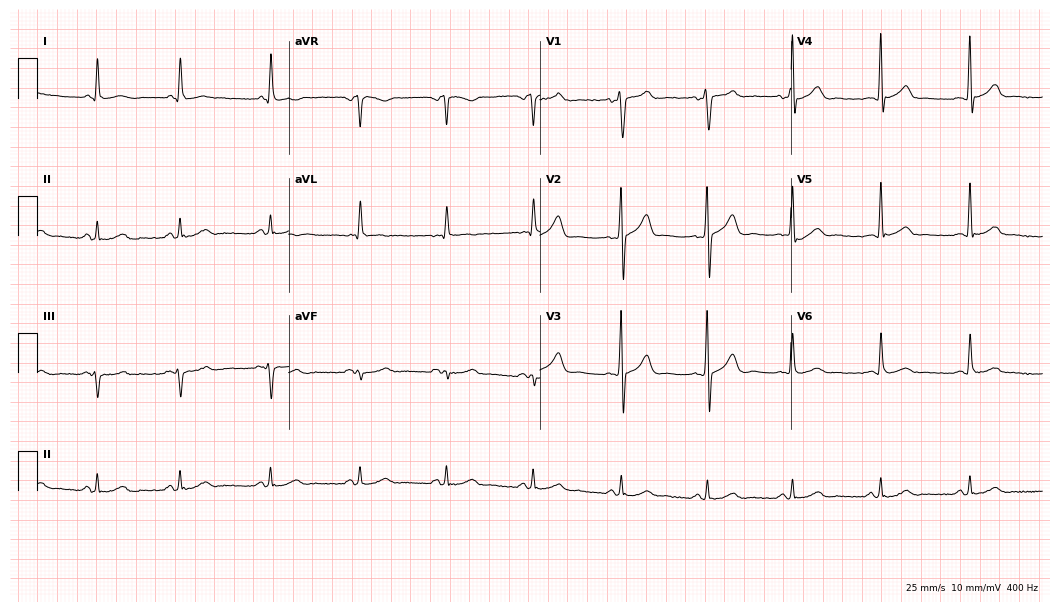
12-lead ECG (10.2-second recording at 400 Hz) from a male, 52 years old. Screened for six findings — first-degree AV block, right bundle branch block, left bundle branch block, sinus bradycardia, atrial fibrillation, sinus tachycardia — none is recorded.